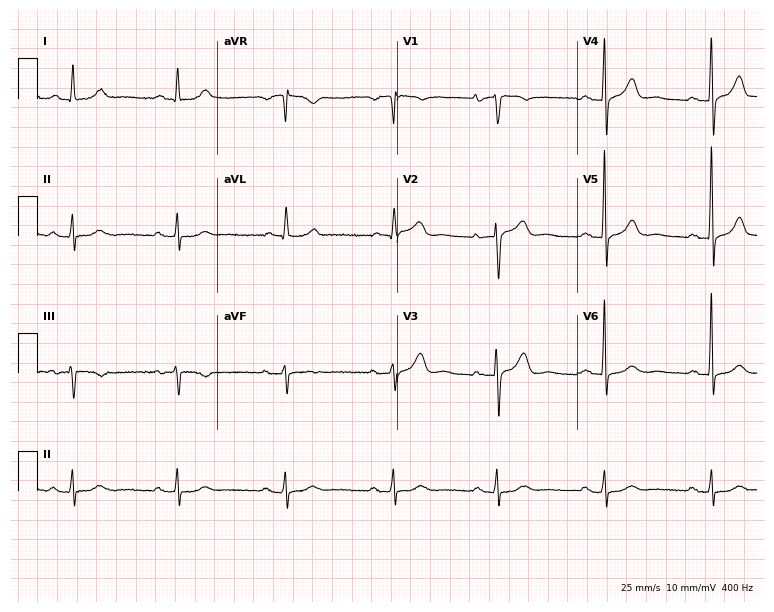
ECG — a woman, 79 years old. Labelled as a normal ECG.